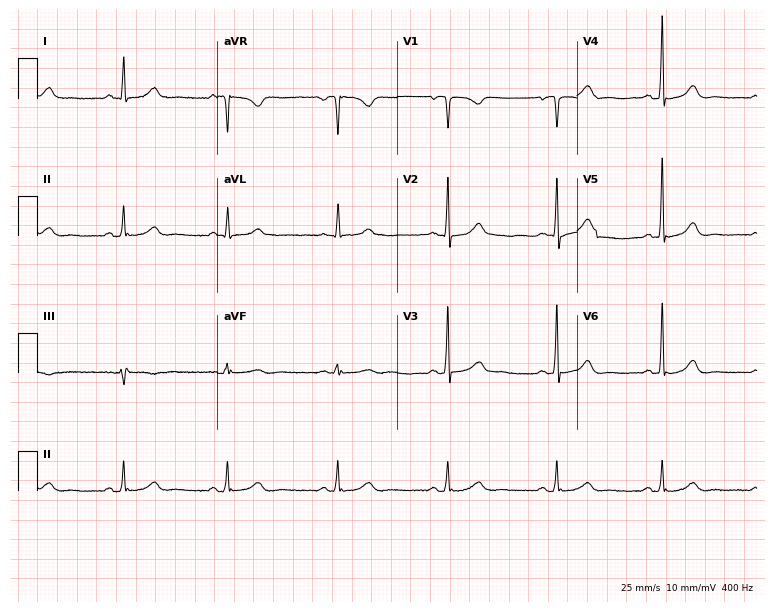
Standard 12-lead ECG recorded from a 69-year-old female patient. Read as a normal ECG.